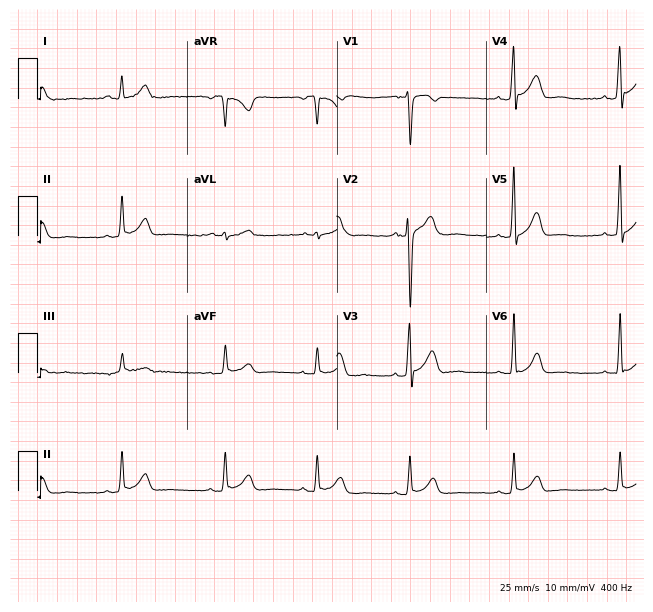
12-lead ECG from a 36-year-old male (6.1-second recording at 400 Hz). Recorded interpretation: within normal limits.